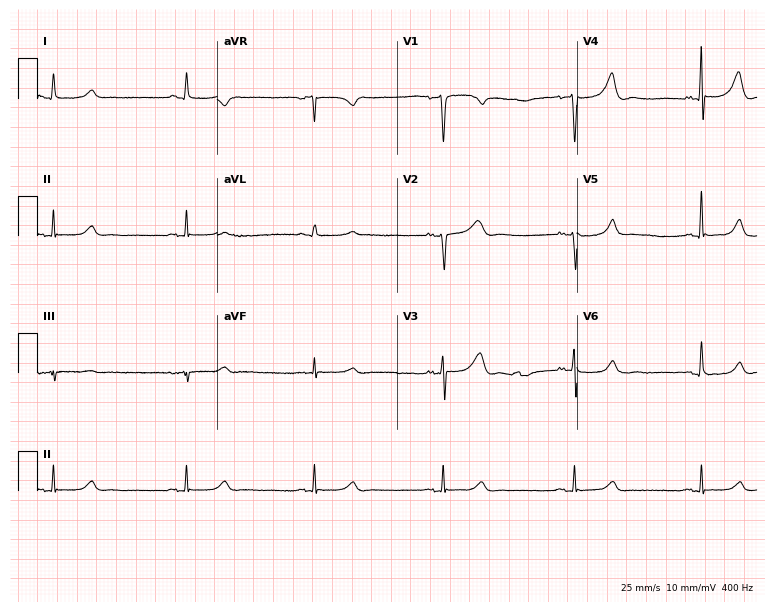
Standard 12-lead ECG recorded from a 44-year-old female. The tracing shows sinus bradycardia (a sinus rate of 50 beats per minute or less).